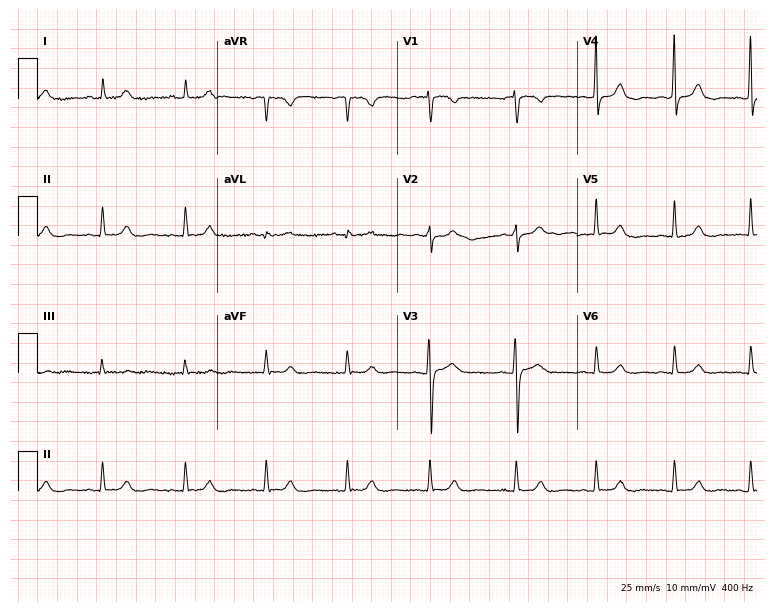
ECG — a 71-year-old female patient. Screened for six findings — first-degree AV block, right bundle branch block (RBBB), left bundle branch block (LBBB), sinus bradycardia, atrial fibrillation (AF), sinus tachycardia — none is recorded.